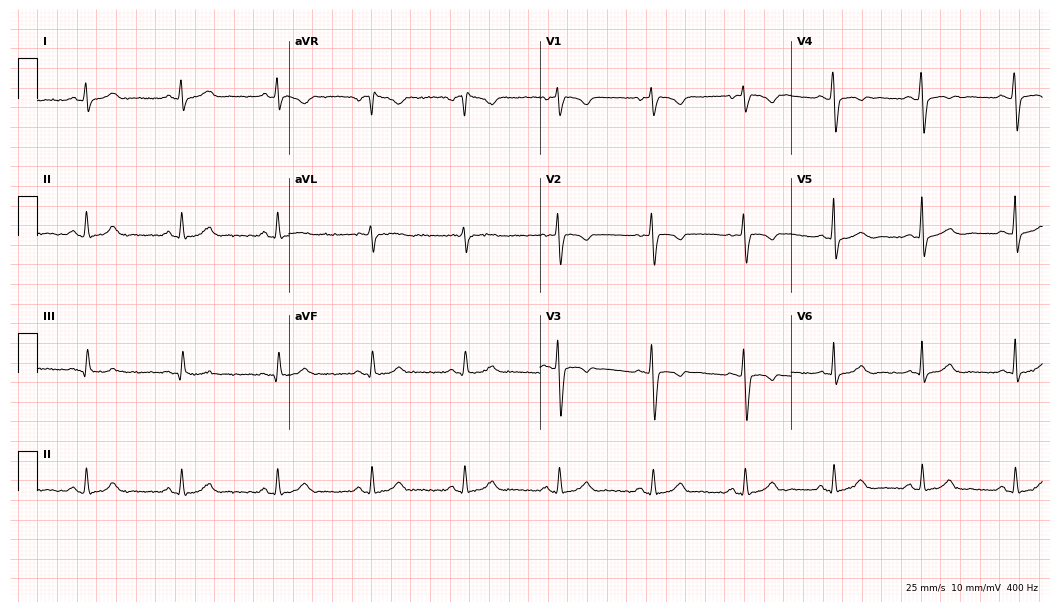
12-lead ECG from a 36-year-old woman (10.2-second recording at 400 Hz). No first-degree AV block, right bundle branch block (RBBB), left bundle branch block (LBBB), sinus bradycardia, atrial fibrillation (AF) or sinus tachycardia recorded for this tracing. Findings outside these six are not listed.